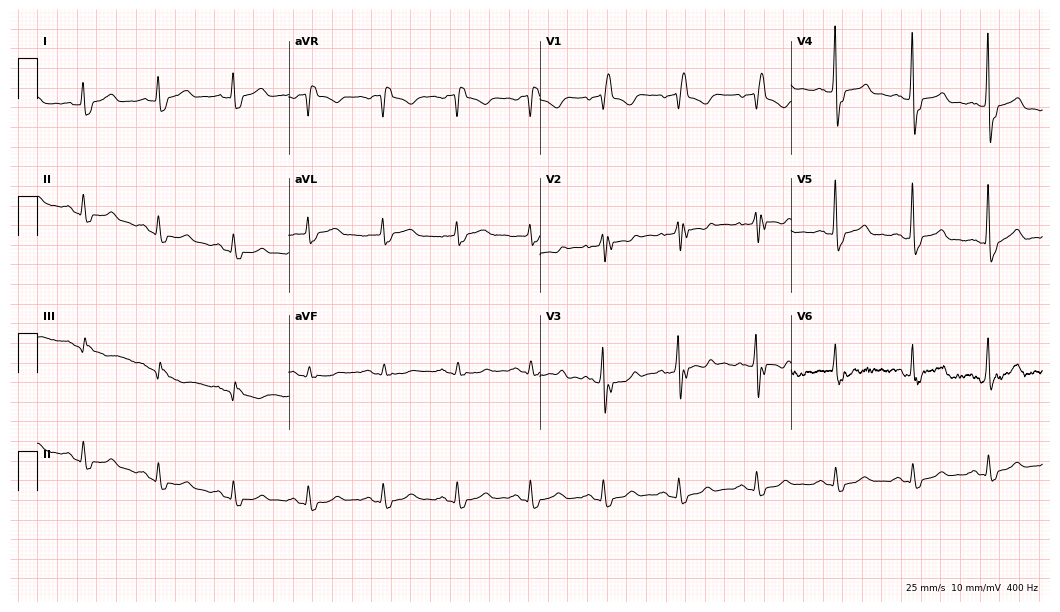
Electrocardiogram, a female, 69 years old. Interpretation includes right bundle branch block (RBBB).